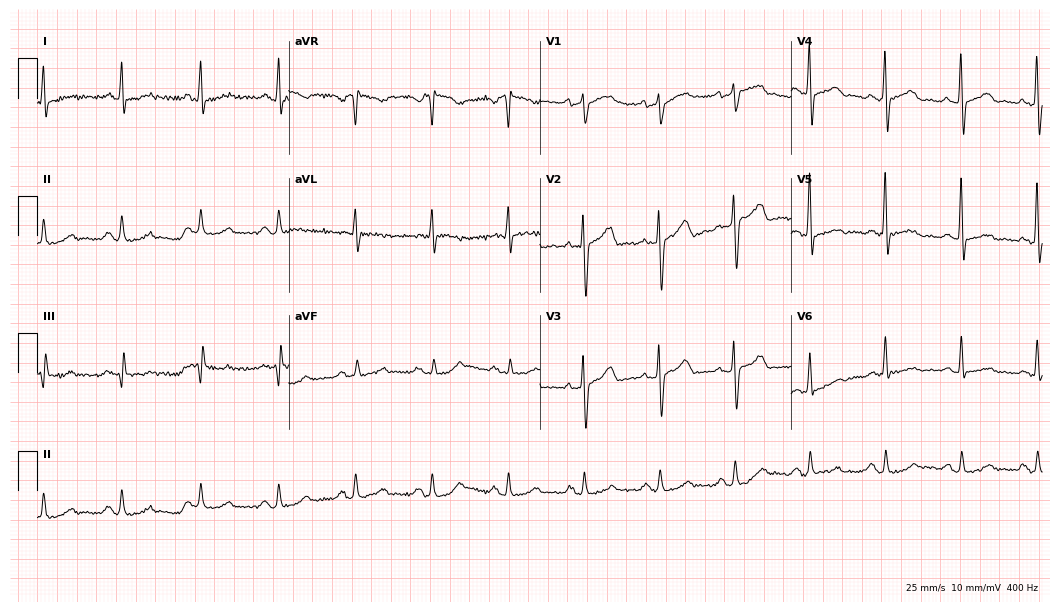
ECG (10.2-second recording at 400 Hz) — a 59-year-old woman. Screened for six findings — first-degree AV block, right bundle branch block (RBBB), left bundle branch block (LBBB), sinus bradycardia, atrial fibrillation (AF), sinus tachycardia — none is recorded. Only these six findings were labelled.